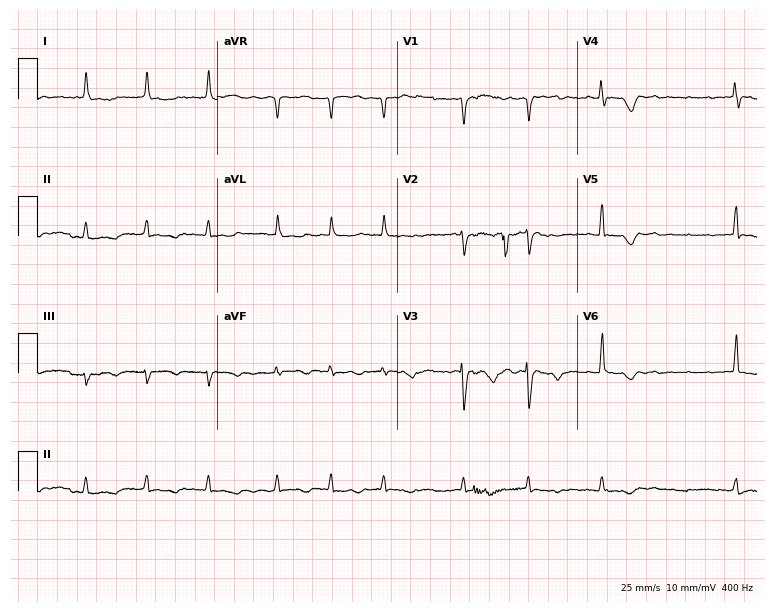
Standard 12-lead ECG recorded from a female patient, 81 years old (7.3-second recording at 400 Hz). The tracing shows atrial fibrillation.